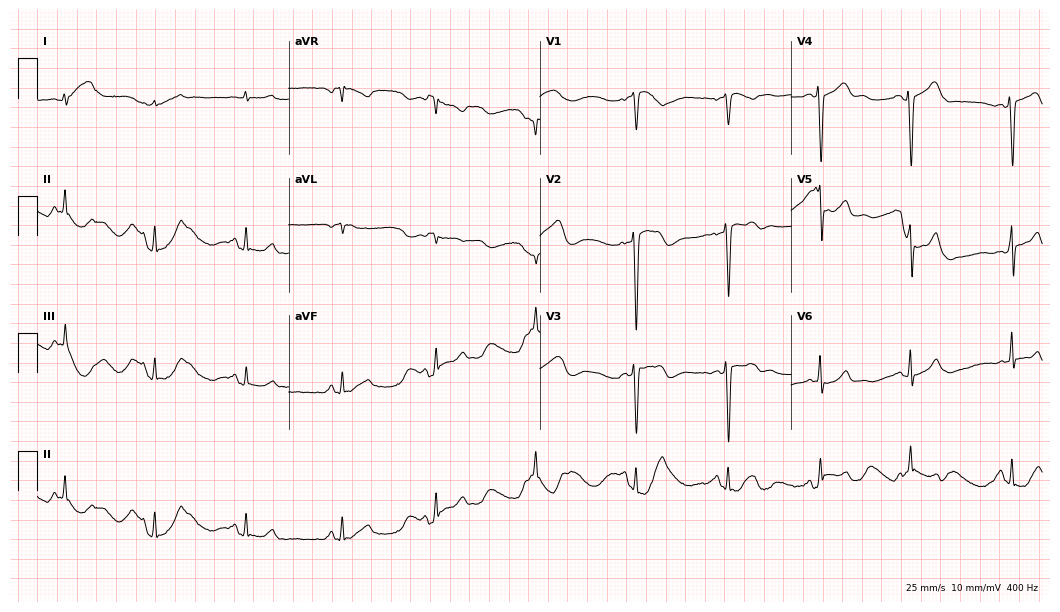
Standard 12-lead ECG recorded from a 37-year-old female. None of these six findings is recorded: first-degree AV block, right bundle branch block (RBBB), left bundle branch block (LBBB), sinus bradycardia, atrial fibrillation (AF), sinus tachycardia.